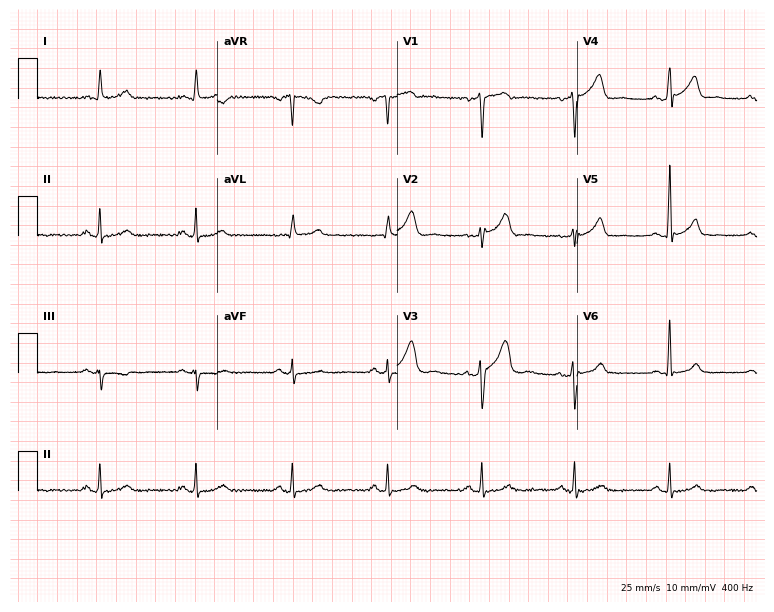
Electrocardiogram, a 55-year-old male patient. Overall reading on record: normal ECG.